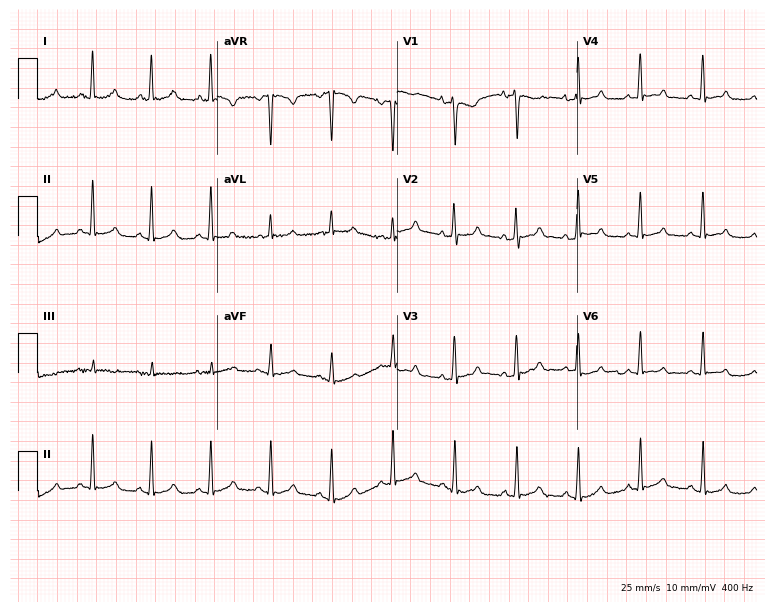
Electrocardiogram, a 32-year-old woman. Overall reading on record: normal ECG.